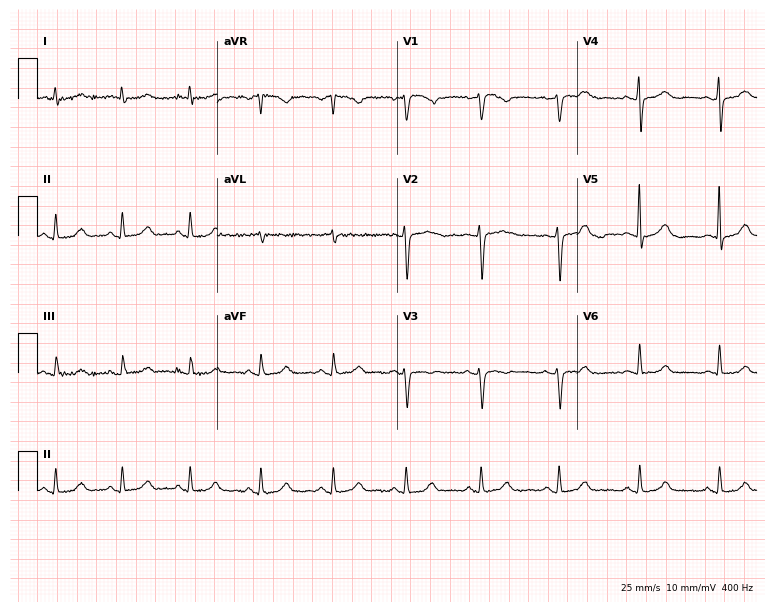
12-lead ECG (7.3-second recording at 400 Hz) from a female, 51 years old. Labelled as a normal ECG.